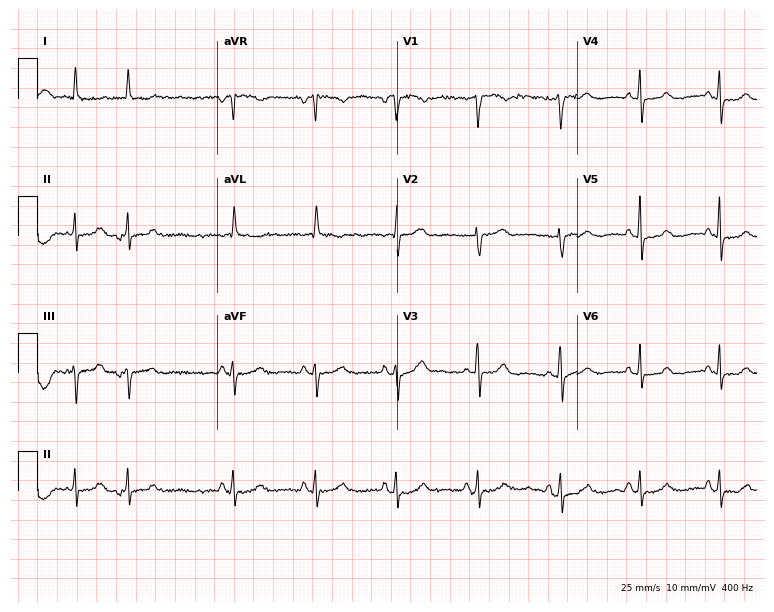
12-lead ECG from an 83-year-old female patient. Labelled as a normal ECG.